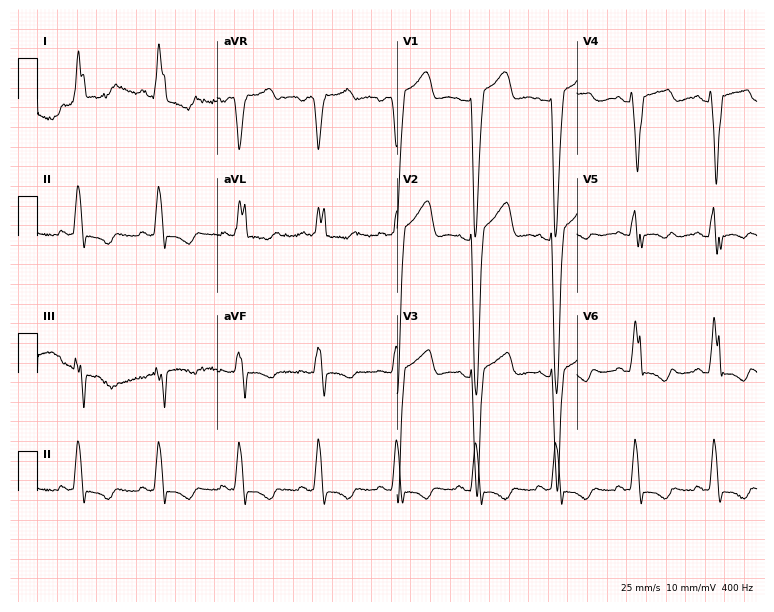
ECG (7.3-second recording at 400 Hz) — a 61-year-old female. Findings include left bundle branch block.